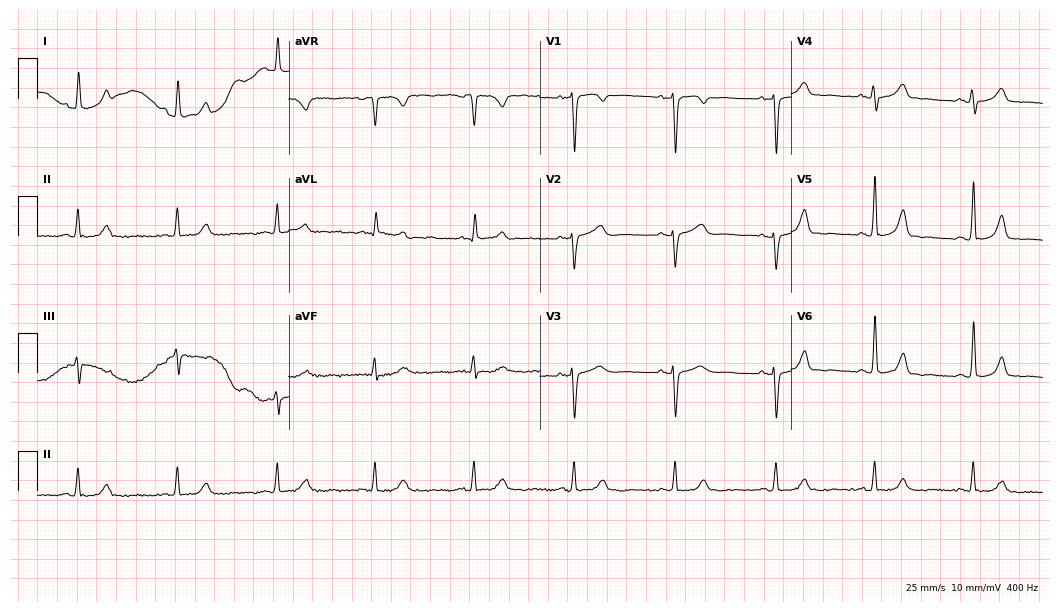
Resting 12-lead electrocardiogram (10.2-second recording at 400 Hz). Patient: a 65-year-old woman. Read as a normal ECG.